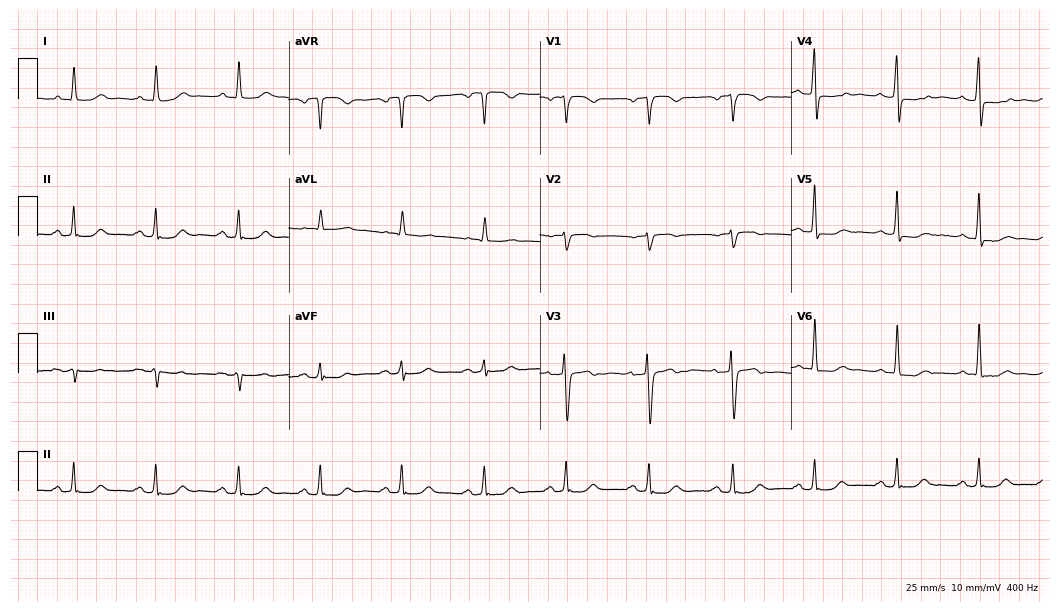
Electrocardiogram, a 60-year-old female. Of the six screened findings (first-degree AV block, right bundle branch block, left bundle branch block, sinus bradycardia, atrial fibrillation, sinus tachycardia), none is recorded. Other findings, if any, are not listed.